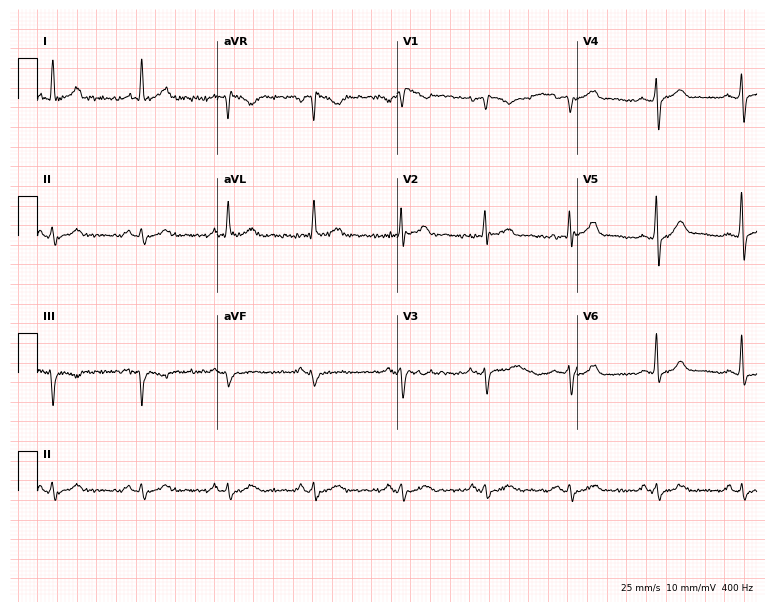
12-lead ECG from a 44-year-old male. Labelled as a normal ECG.